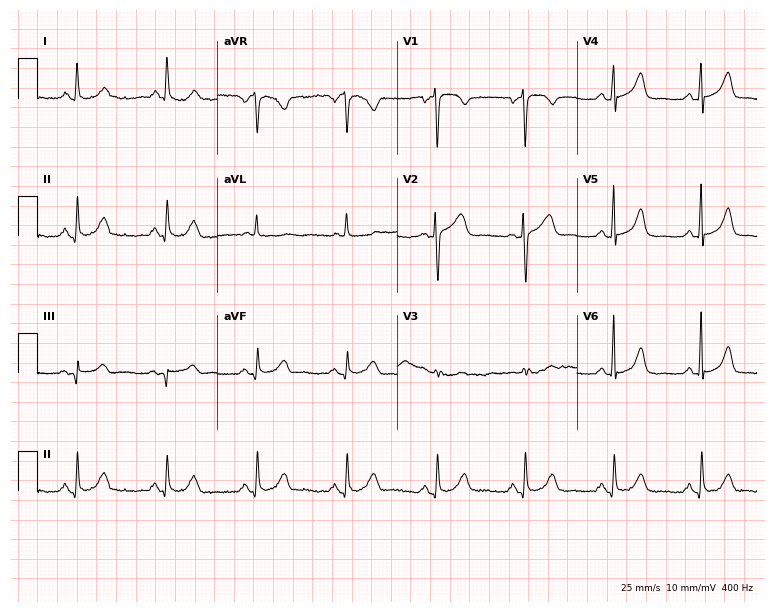
Electrocardiogram, a female patient, 53 years old. Of the six screened findings (first-degree AV block, right bundle branch block (RBBB), left bundle branch block (LBBB), sinus bradycardia, atrial fibrillation (AF), sinus tachycardia), none is recorded. Only these six findings were labelled.